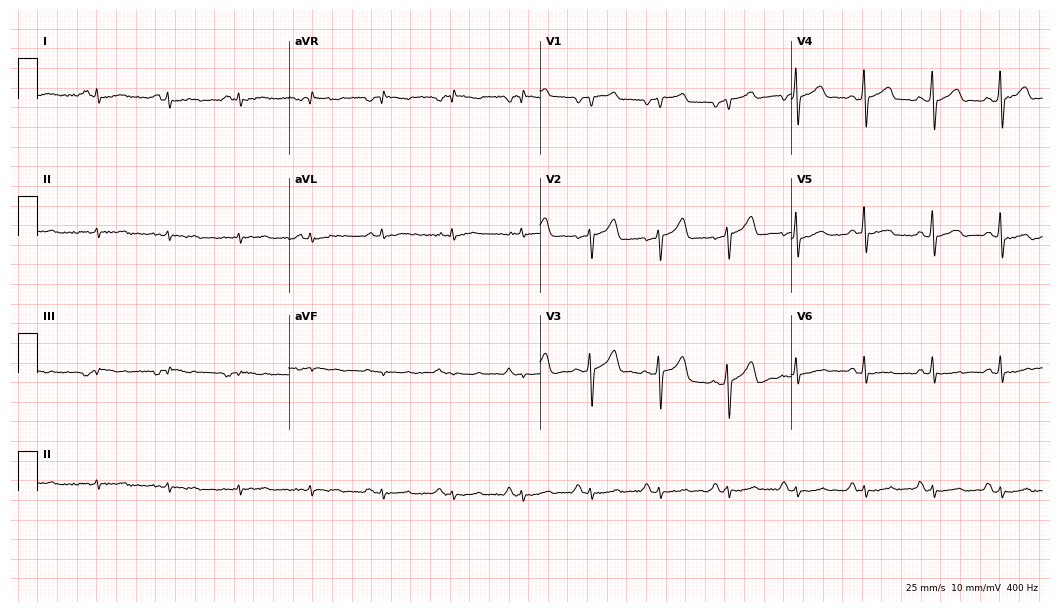
12-lead ECG from a male, 60 years old (10.2-second recording at 400 Hz). No first-degree AV block, right bundle branch block (RBBB), left bundle branch block (LBBB), sinus bradycardia, atrial fibrillation (AF) or sinus tachycardia recorded for this tracing. Findings outside these six are not listed.